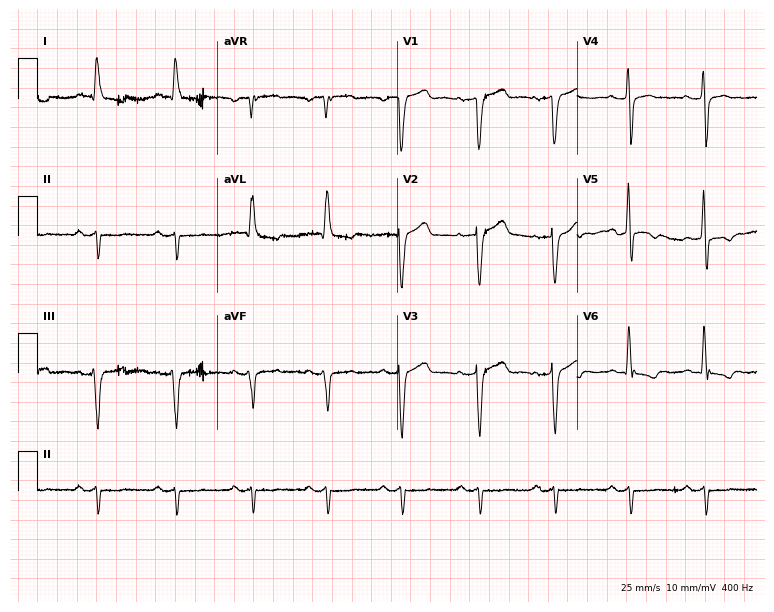
ECG — a male patient, 68 years old. Screened for six findings — first-degree AV block, right bundle branch block, left bundle branch block, sinus bradycardia, atrial fibrillation, sinus tachycardia — none is recorded.